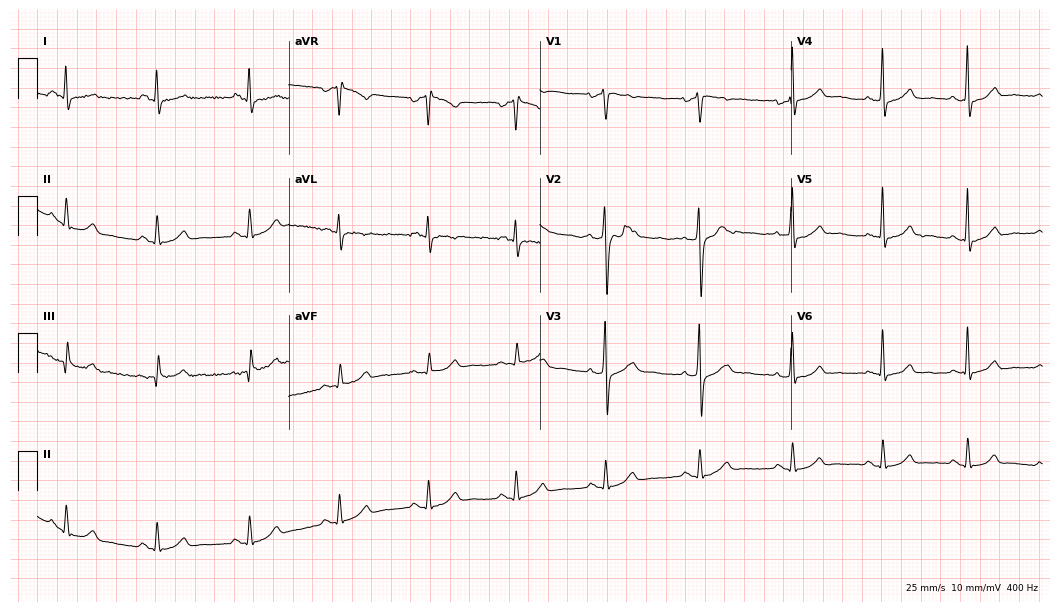
Standard 12-lead ECG recorded from a male, 49 years old (10.2-second recording at 400 Hz). None of these six findings is recorded: first-degree AV block, right bundle branch block (RBBB), left bundle branch block (LBBB), sinus bradycardia, atrial fibrillation (AF), sinus tachycardia.